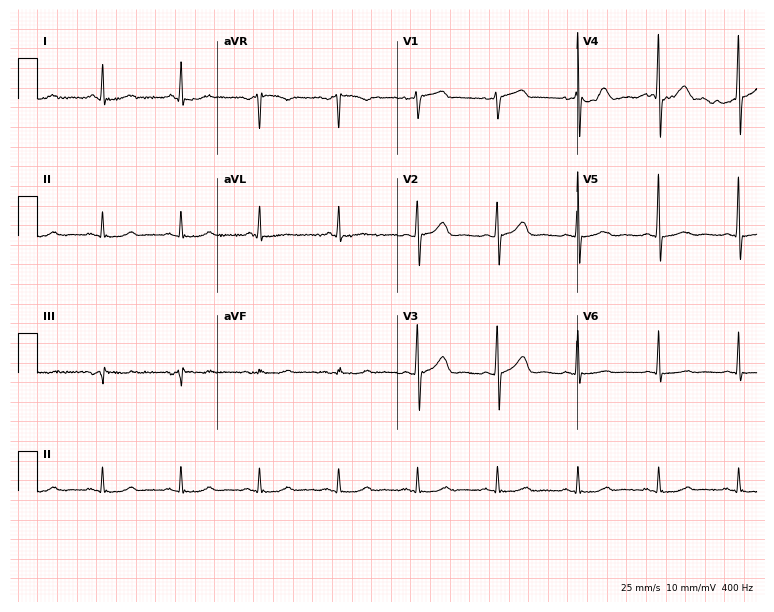
Resting 12-lead electrocardiogram. Patient: a female, 44 years old. Read as a normal ECG.